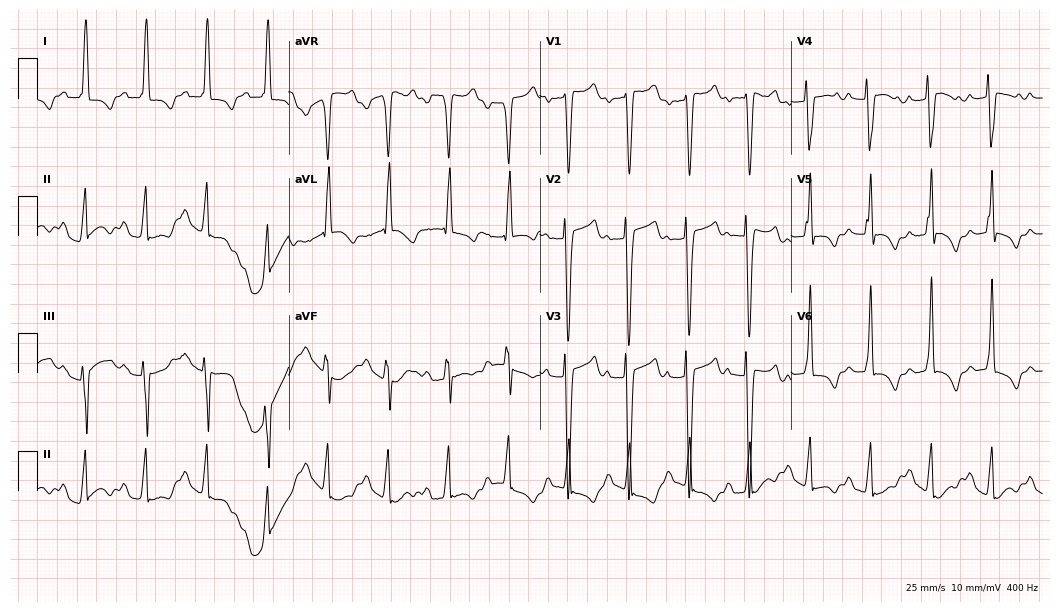
12-lead ECG from a male, 60 years old (10.2-second recording at 400 Hz). No first-degree AV block, right bundle branch block (RBBB), left bundle branch block (LBBB), sinus bradycardia, atrial fibrillation (AF) or sinus tachycardia recorded for this tracing.